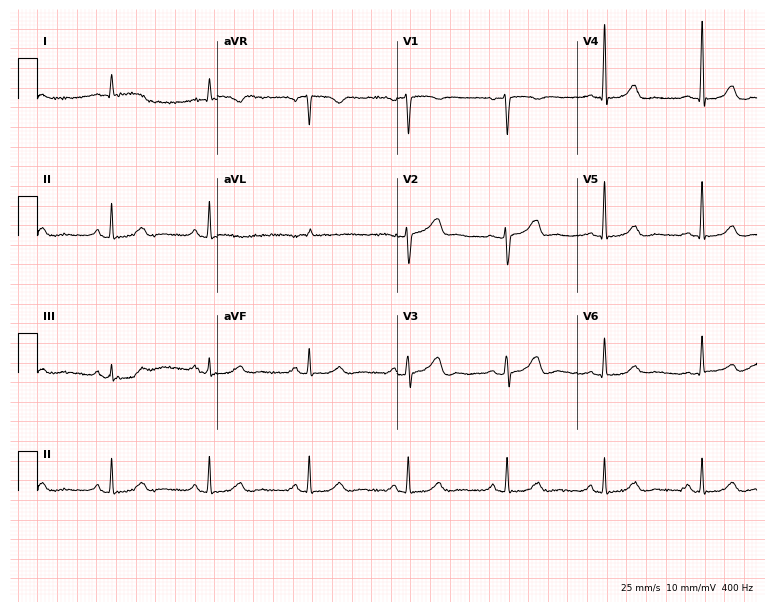
Resting 12-lead electrocardiogram. Patient: a woman, 67 years old. None of these six findings is recorded: first-degree AV block, right bundle branch block, left bundle branch block, sinus bradycardia, atrial fibrillation, sinus tachycardia.